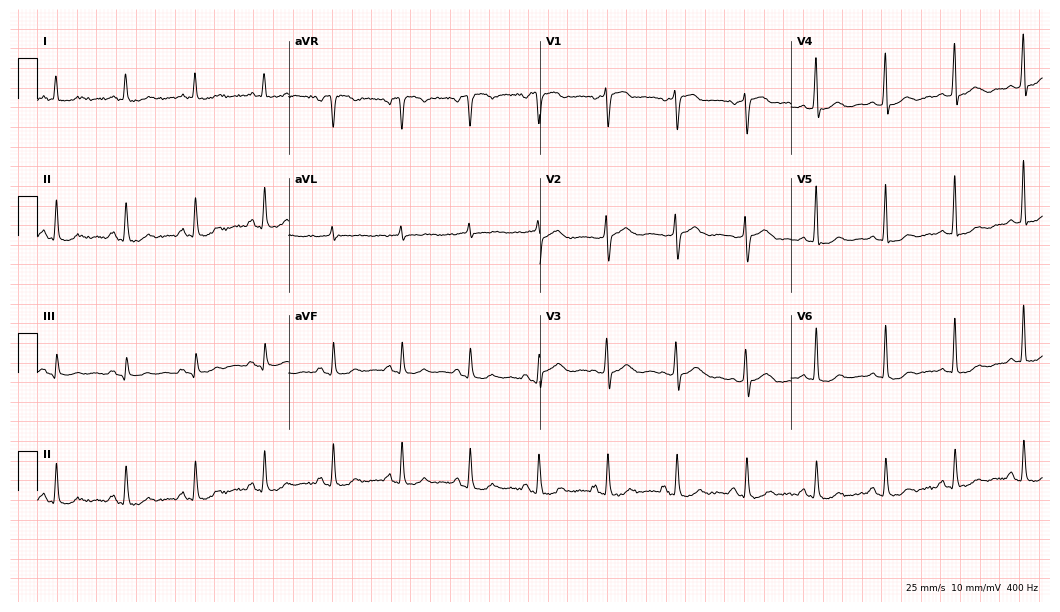
ECG (10.2-second recording at 400 Hz) — a 65-year-old woman. Labelled as a normal ECG.